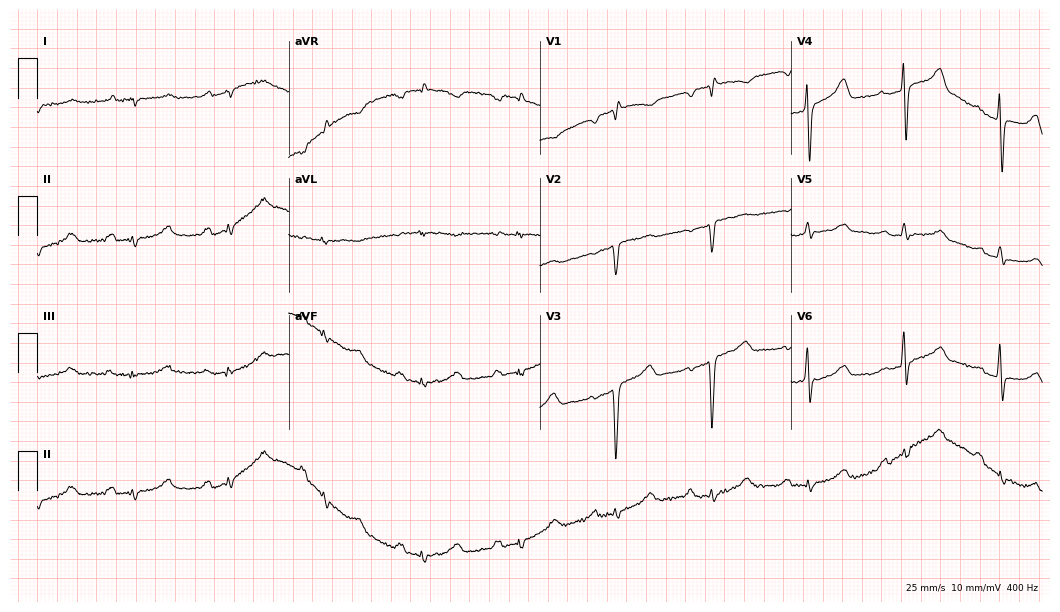
Electrocardiogram (10.2-second recording at 400 Hz), a 53-year-old man. Interpretation includes first-degree AV block.